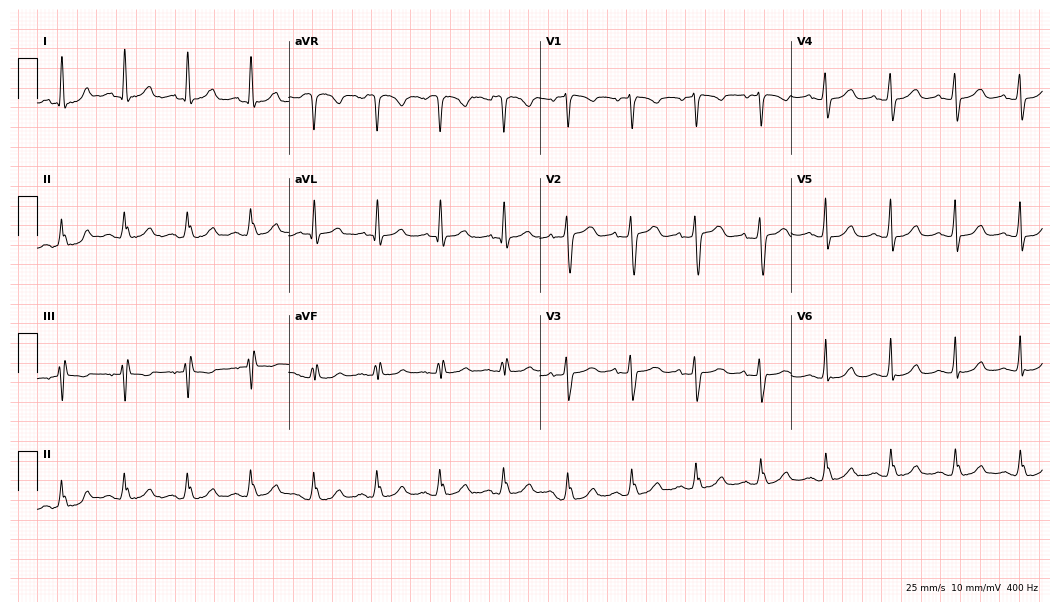
Resting 12-lead electrocardiogram. Patient: a female, 77 years old. None of these six findings is recorded: first-degree AV block, right bundle branch block, left bundle branch block, sinus bradycardia, atrial fibrillation, sinus tachycardia.